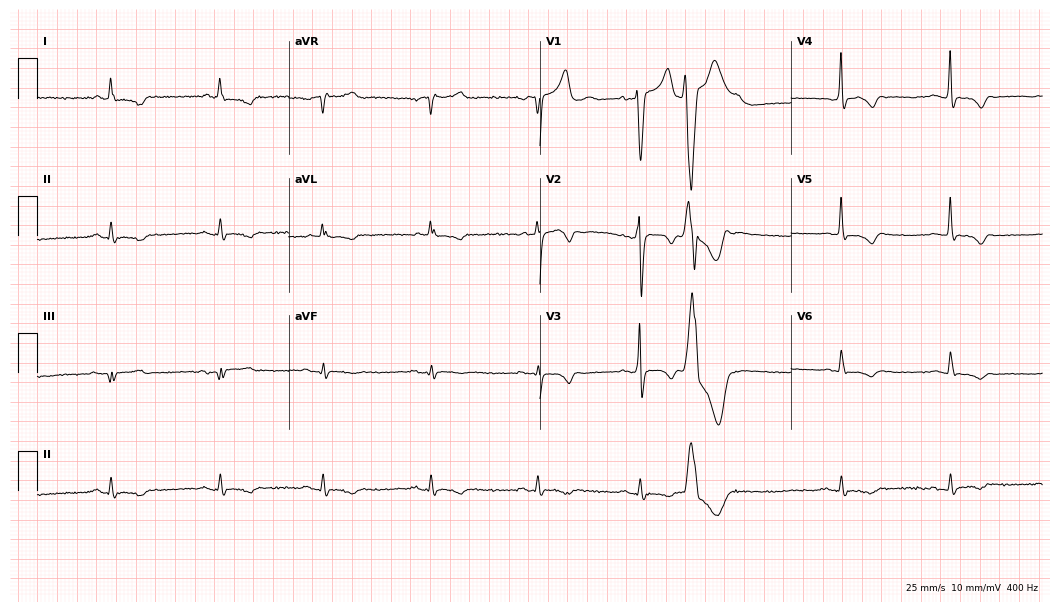
12-lead ECG from a 51-year-old male patient. No first-degree AV block, right bundle branch block, left bundle branch block, sinus bradycardia, atrial fibrillation or sinus tachycardia recorded for this tracing. Other findings, if any, are not listed.